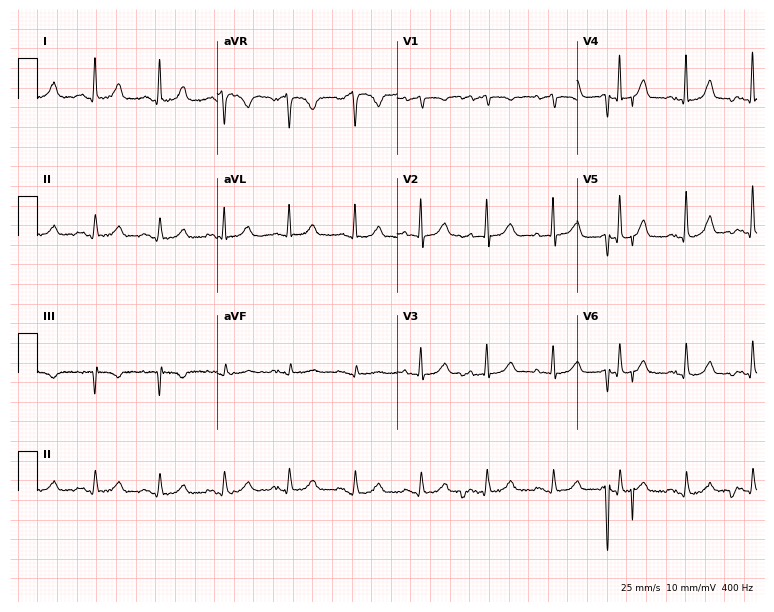
Standard 12-lead ECG recorded from a 79-year-old male patient (7.3-second recording at 400 Hz). Read as a normal ECG.